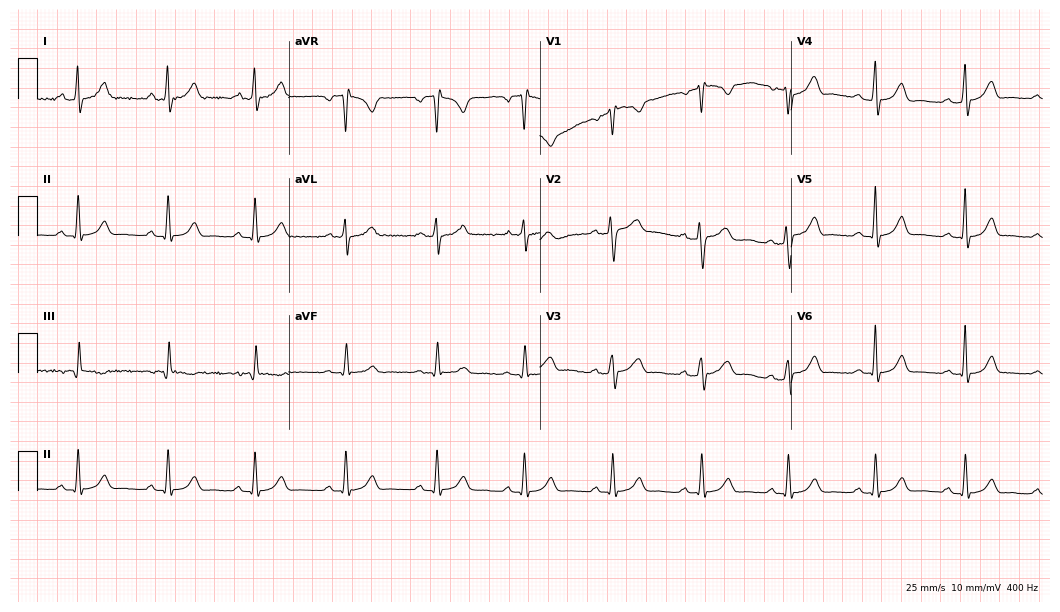
12-lead ECG from a woman, 45 years old. Labelled as a normal ECG.